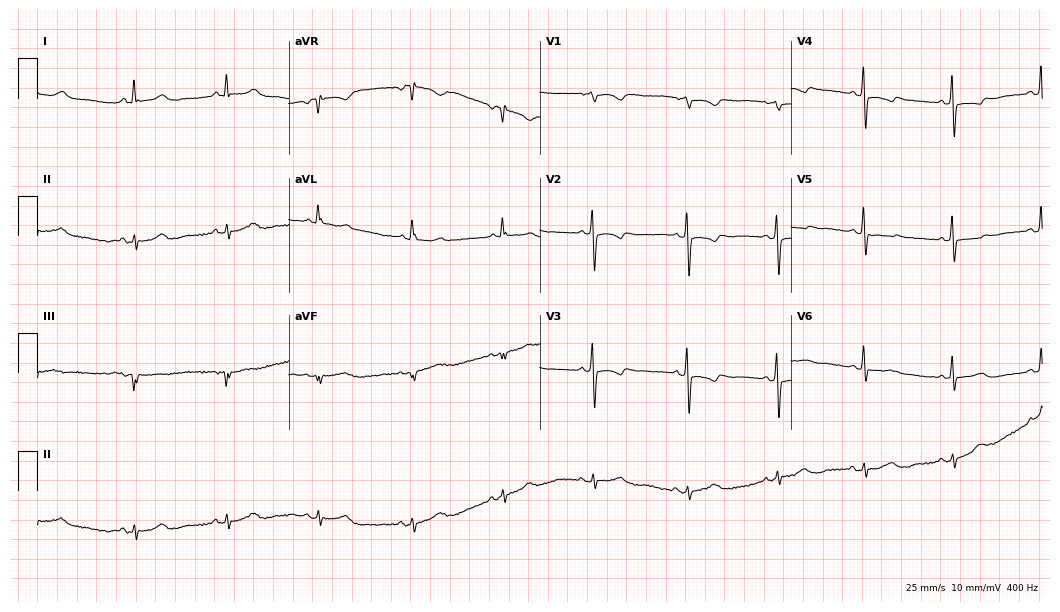
ECG — a 67-year-old female. Screened for six findings — first-degree AV block, right bundle branch block, left bundle branch block, sinus bradycardia, atrial fibrillation, sinus tachycardia — none is recorded. Other findings, if any, are not listed.